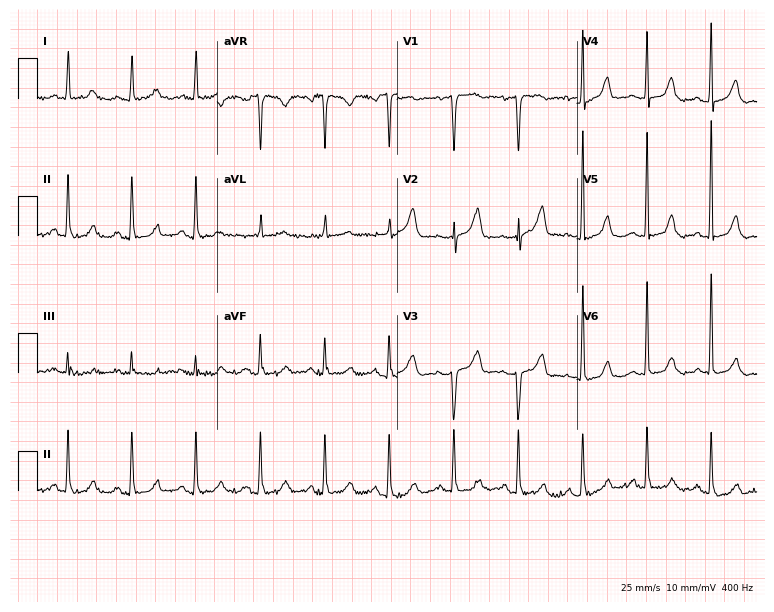
Electrocardiogram (7.3-second recording at 400 Hz), an 81-year-old female patient. Overall reading on record: normal ECG.